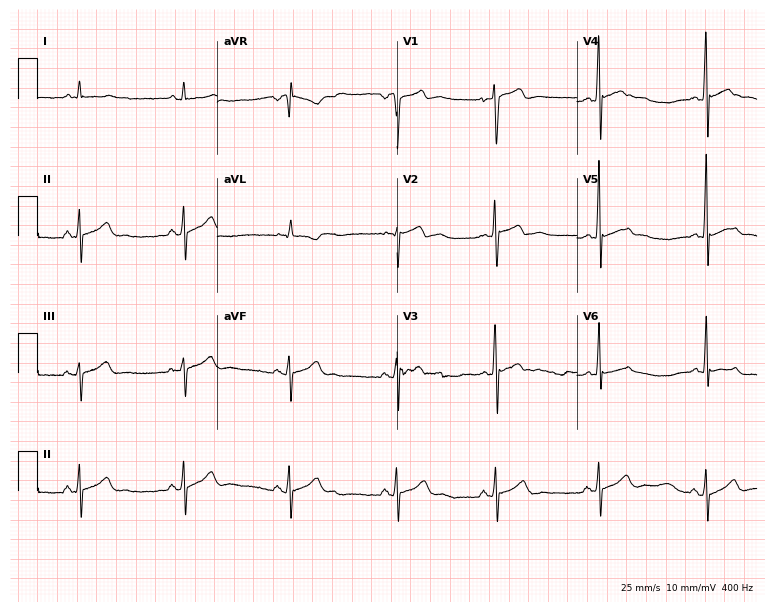
12-lead ECG from a 17-year-old man. No first-degree AV block, right bundle branch block, left bundle branch block, sinus bradycardia, atrial fibrillation or sinus tachycardia recorded for this tracing. Only these six findings were labelled.